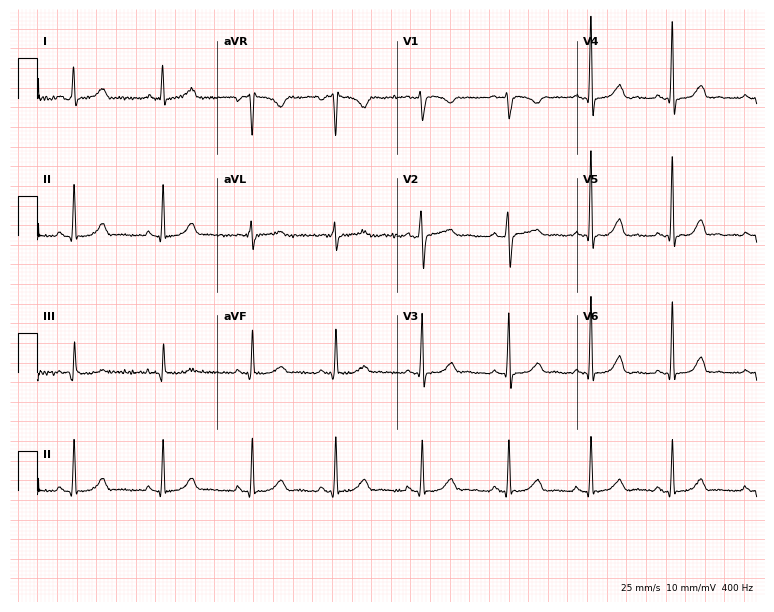
ECG — a 44-year-old woman. Screened for six findings — first-degree AV block, right bundle branch block, left bundle branch block, sinus bradycardia, atrial fibrillation, sinus tachycardia — none is recorded. Other findings, if any, are not listed.